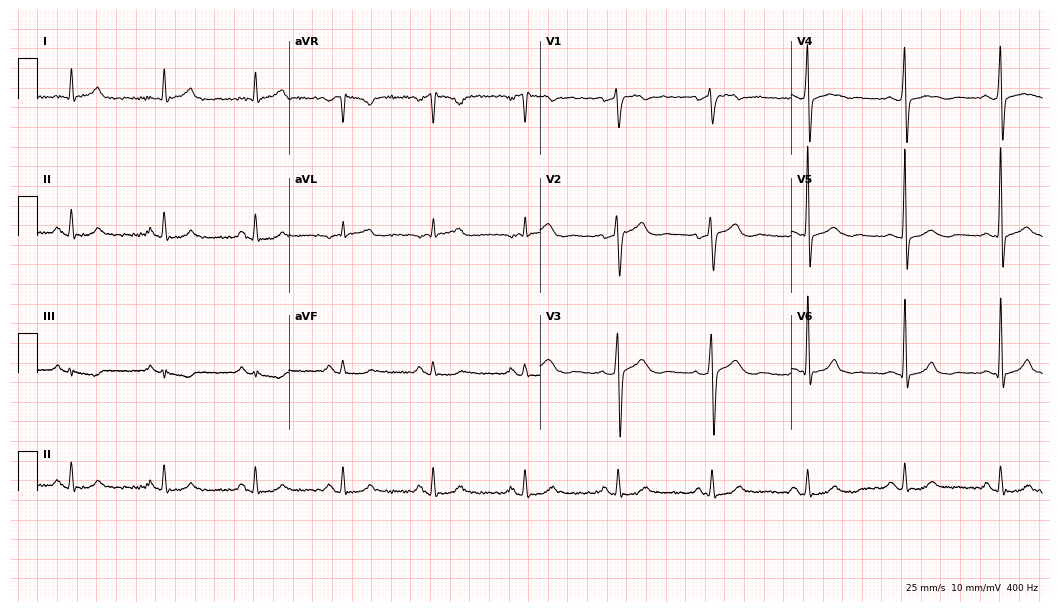
Electrocardiogram, a 54-year-old man. Overall reading on record: normal ECG.